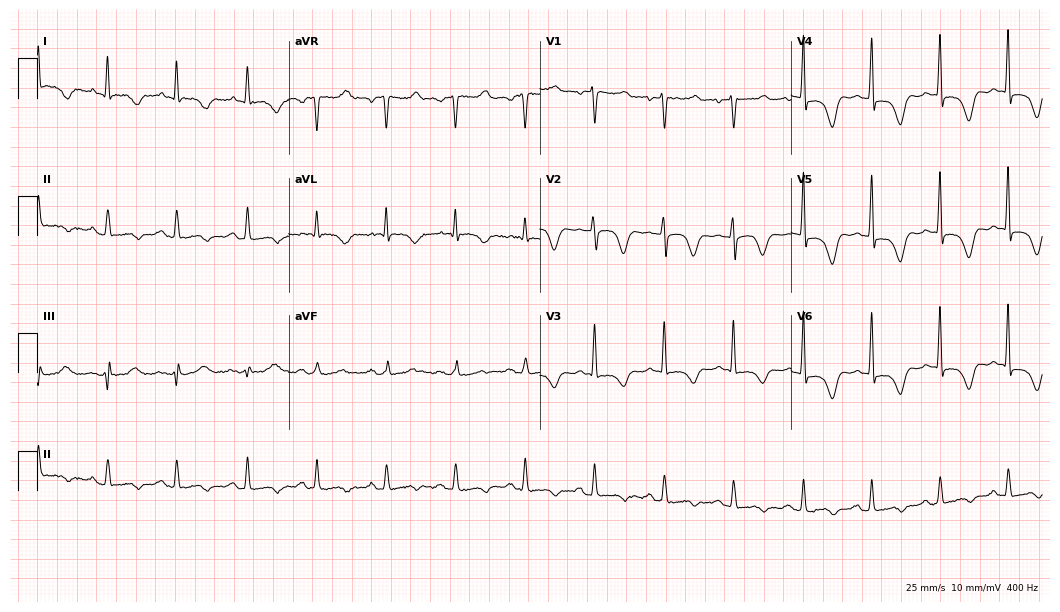
12-lead ECG from a woman, 85 years old. No first-degree AV block, right bundle branch block, left bundle branch block, sinus bradycardia, atrial fibrillation or sinus tachycardia recorded for this tracing.